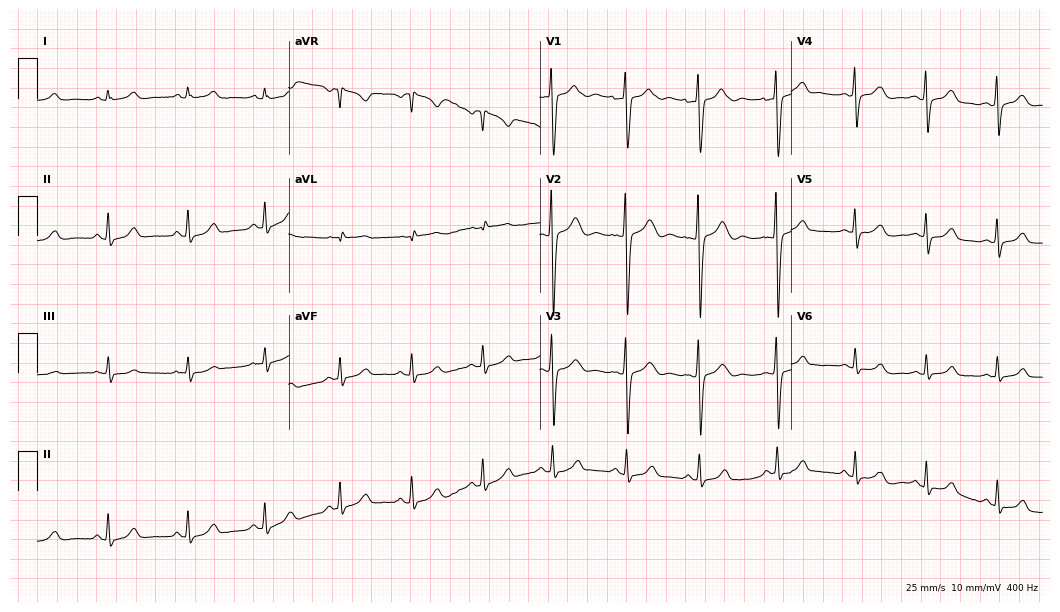
Resting 12-lead electrocardiogram (10.2-second recording at 400 Hz). Patient: a 25-year-old female. None of these six findings is recorded: first-degree AV block, right bundle branch block, left bundle branch block, sinus bradycardia, atrial fibrillation, sinus tachycardia. Only these six findings were labelled.